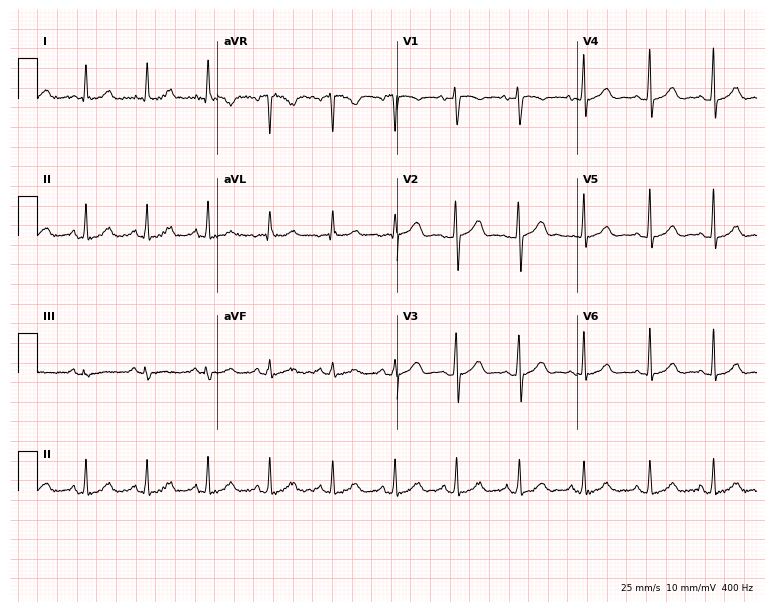
Resting 12-lead electrocardiogram (7.3-second recording at 400 Hz). Patient: a 36-year-old female. None of these six findings is recorded: first-degree AV block, right bundle branch block (RBBB), left bundle branch block (LBBB), sinus bradycardia, atrial fibrillation (AF), sinus tachycardia. Findings outside these six are not listed.